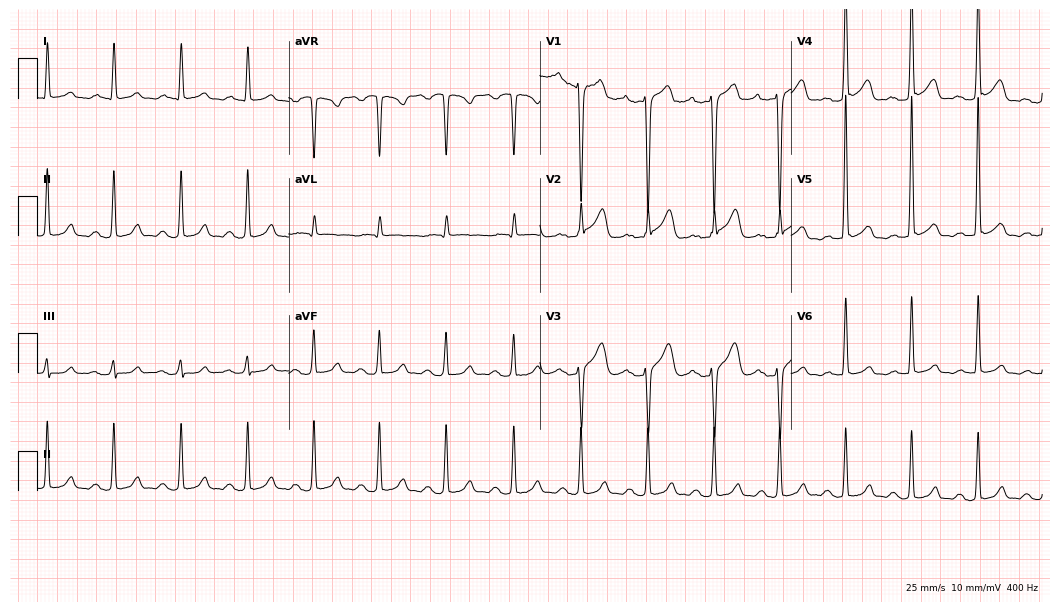
12-lead ECG from a man, 51 years old (10.2-second recording at 400 Hz). Shows first-degree AV block.